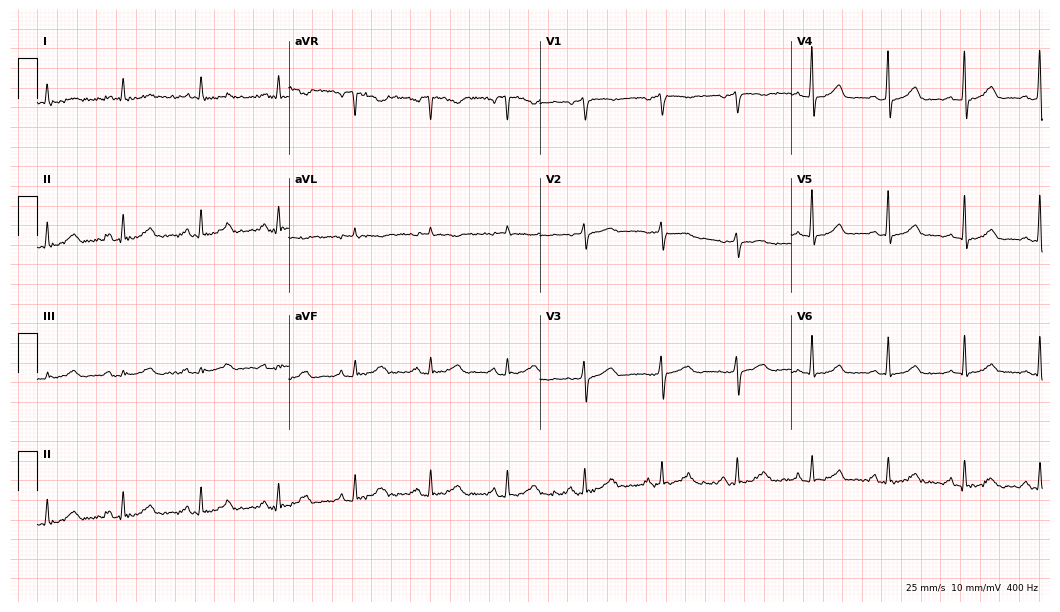
ECG (10.2-second recording at 400 Hz) — a female, 71 years old. Labelled as a normal ECG.